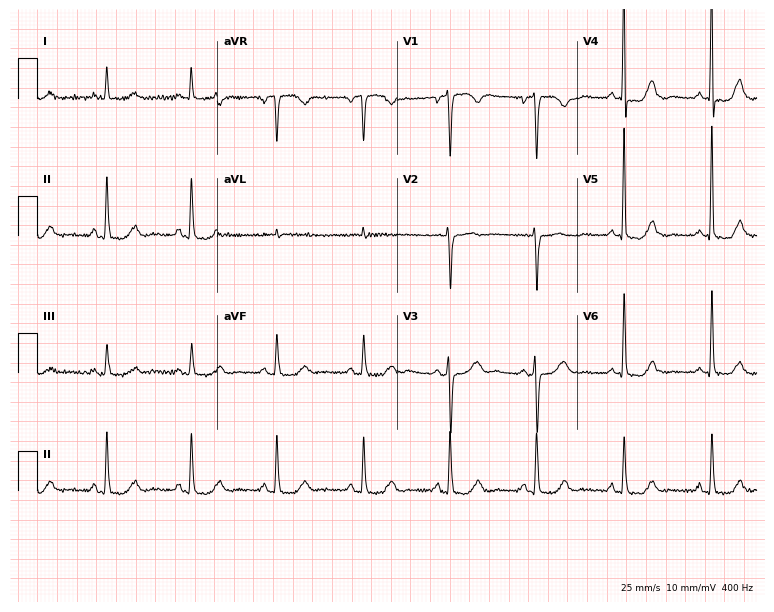
12-lead ECG from a 72-year-old female patient. Screened for six findings — first-degree AV block, right bundle branch block, left bundle branch block, sinus bradycardia, atrial fibrillation, sinus tachycardia — none is recorded. Other findings, if any, are not listed.